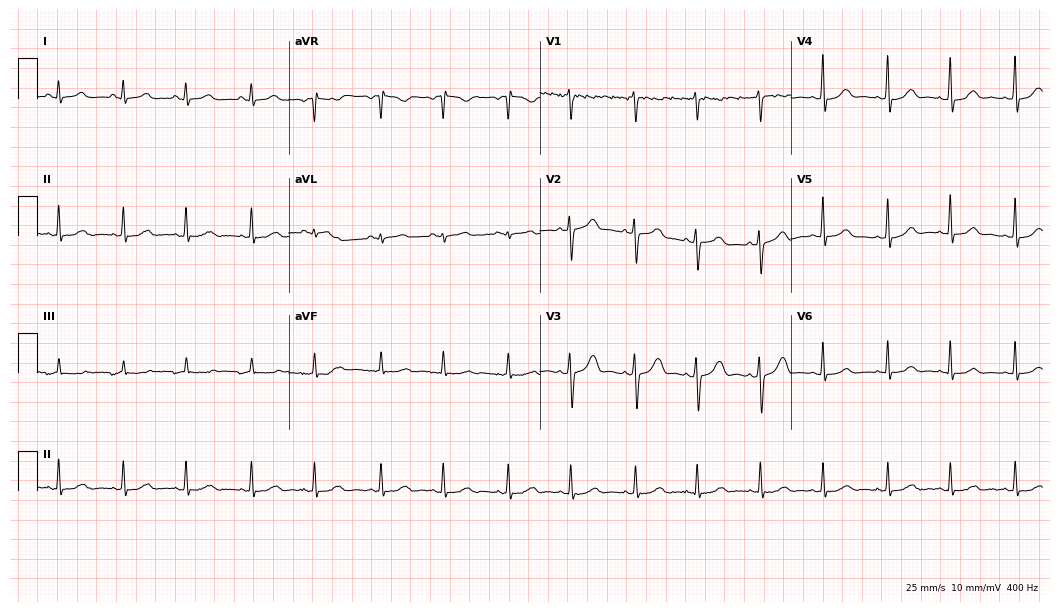
12-lead ECG from a 42-year-old woman. Screened for six findings — first-degree AV block, right bundle branch block, left bundle branch block, sinus bradycardia, atrial fibrillation, sinus tachycardia — none is recorded.